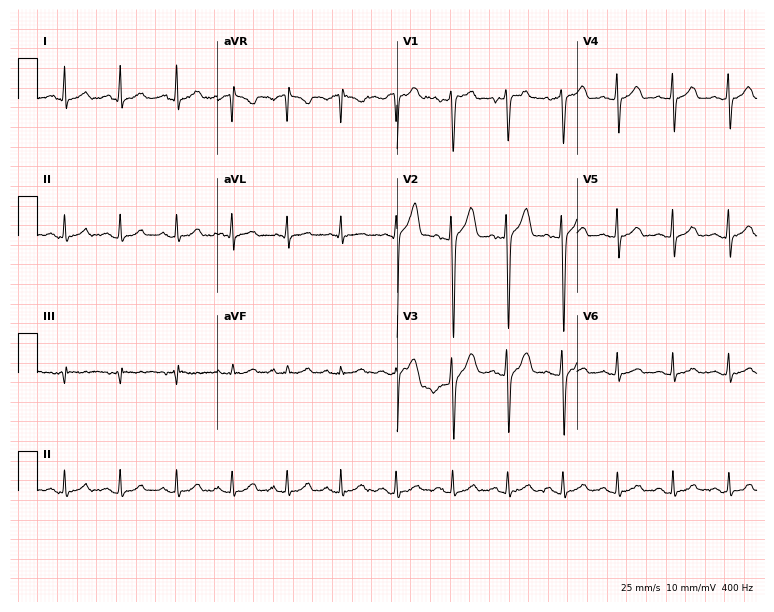
12-lead ECG from a male patient, 32 years old. Shows sinus tachycardia (a sinus rate of 100 beats per minute or more).